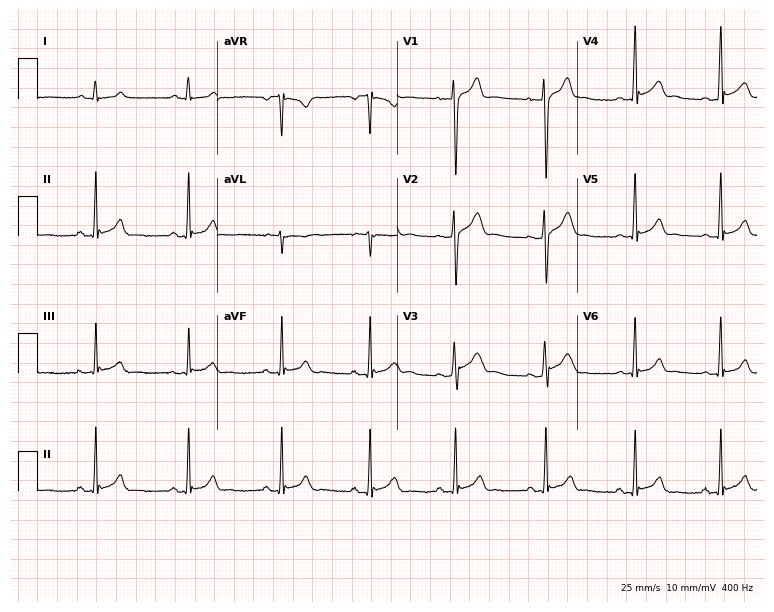
Standard 12-lead ECG recorded from a male, 26 years old. Read as a normal ECG.